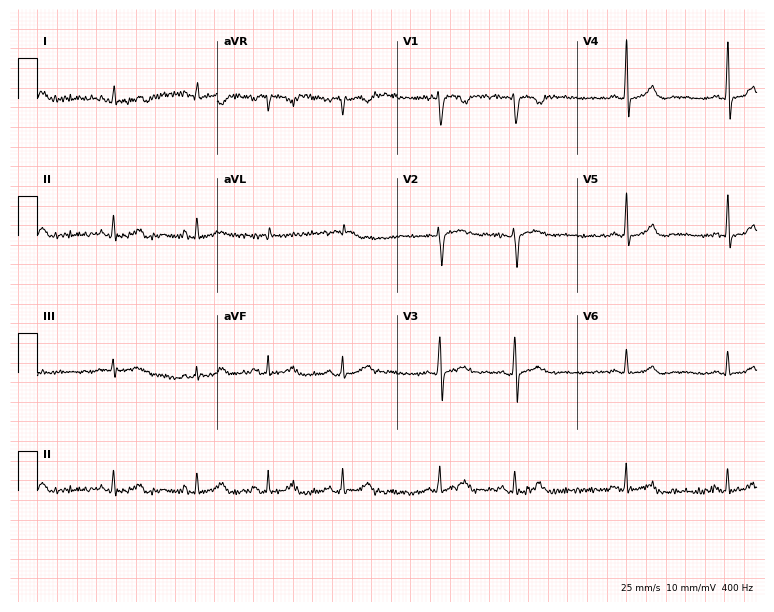
12-lead ECG from a 38-year-old female. No first-degree AV block, right bundle branch block (RBBB), left bundle branch block (LBBB), sinus bradycardia, atrial fibrillation (AF) or sinus tachycardia recorded for this tracing. Findings outside these six are not listed.